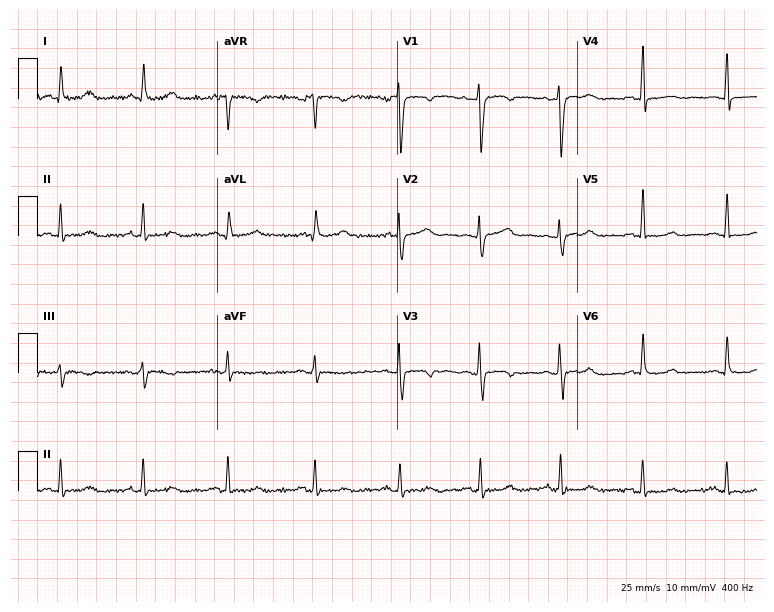
12-lead ECG from a female, 45 years old. No first-degree AV block, right bundle branch block, left bundle branch block, sinus bradycardia, atrial fibrillation or sinus tachycardia recorded for this tracing. Only these six findings were labelled.